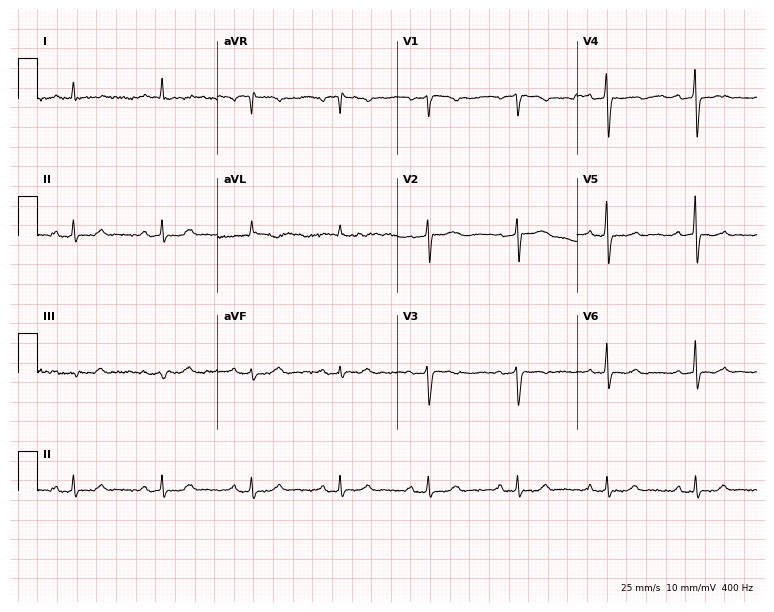
ECG (7.3-second recording at 400 Hz) — a 57-year-old woman. Screened for six findings — first-degree AV block, right bundle branch block (RBBB), left bundle branch block (LBBB), sinus bradycardia, atrial fibrillation (AF), sinus tachycardia — none is recorded.